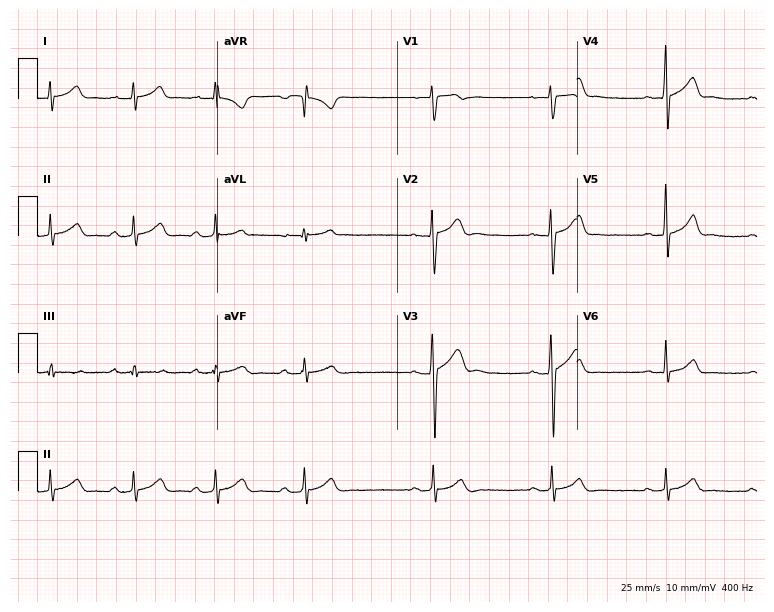
12-lead ECG from a man, 24 years old (7.3-second recording at 400 Hz). No first-degree AV block, right bundle branch block (RBBB), left bundle branch block (LBBB), sinus bradycardia, atrial fibrillation (AF) or sinus tachycardia recorded for this tracing.